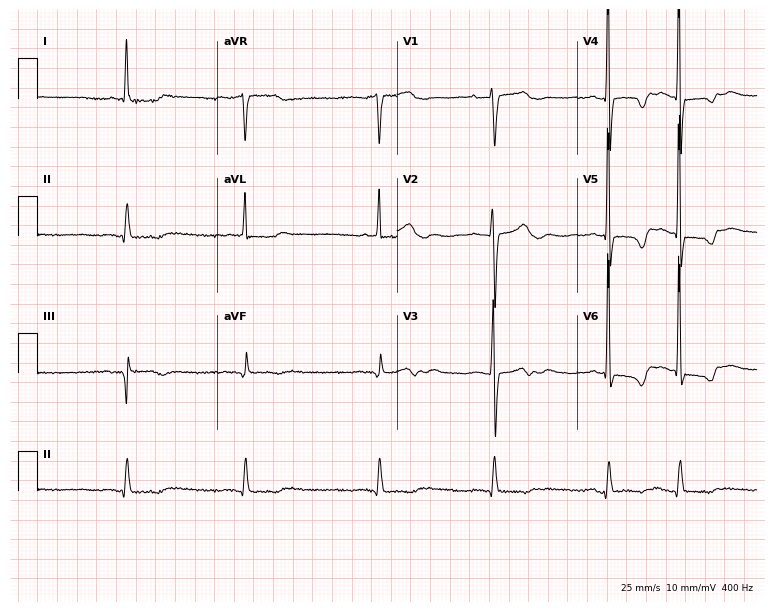
Standard 12-lead ECG recorded from a female, 67 years old. None of these six findings is recorded: first-degree AV block, right bundle branch block, left bundle branch block, sinus bradycardia, atrial fibrillation, sinus tachycardia.